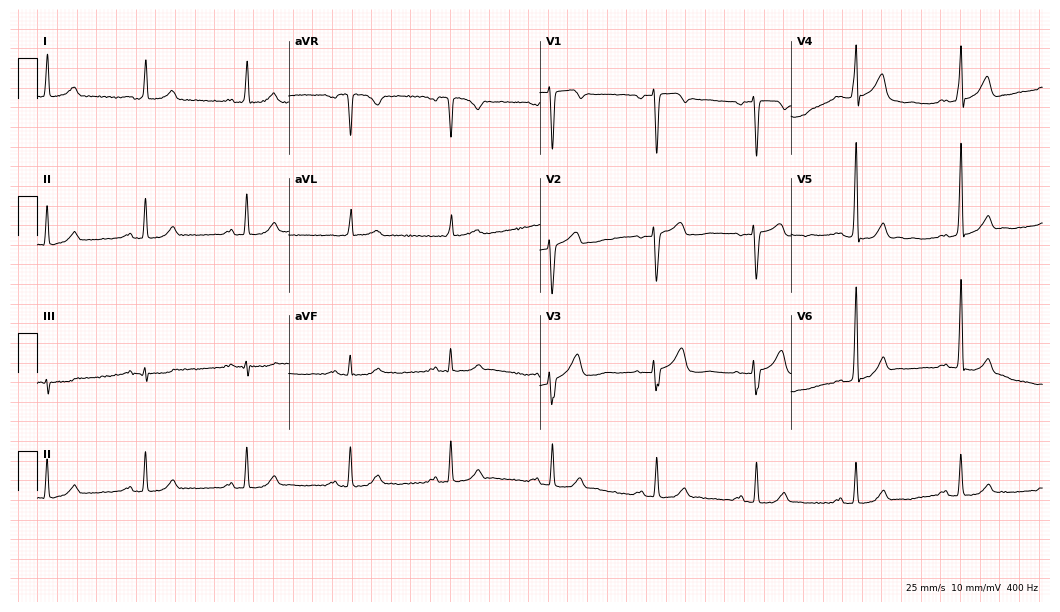
12-lead ECG from a 73-year-old woman. Labelled as a normal ECG.